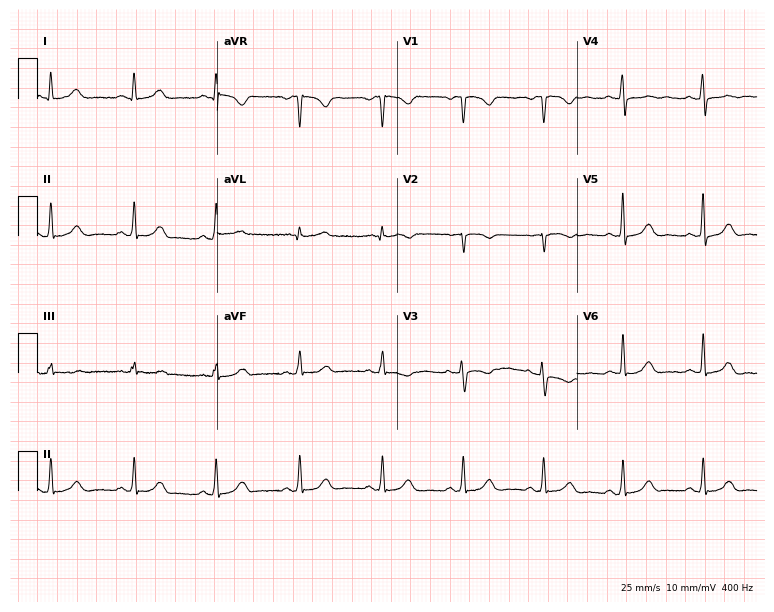
Electrocardiogram (7.3-second recording at 400 Hz), a female, 41 years old. Of the six screened findings (first-degree AV block, right bundle branch block (RBBB), left bundle branch block (LBBB), sinus bradycardia, atrial fibrillation (AF), sinus tachycardia), none is recorded.